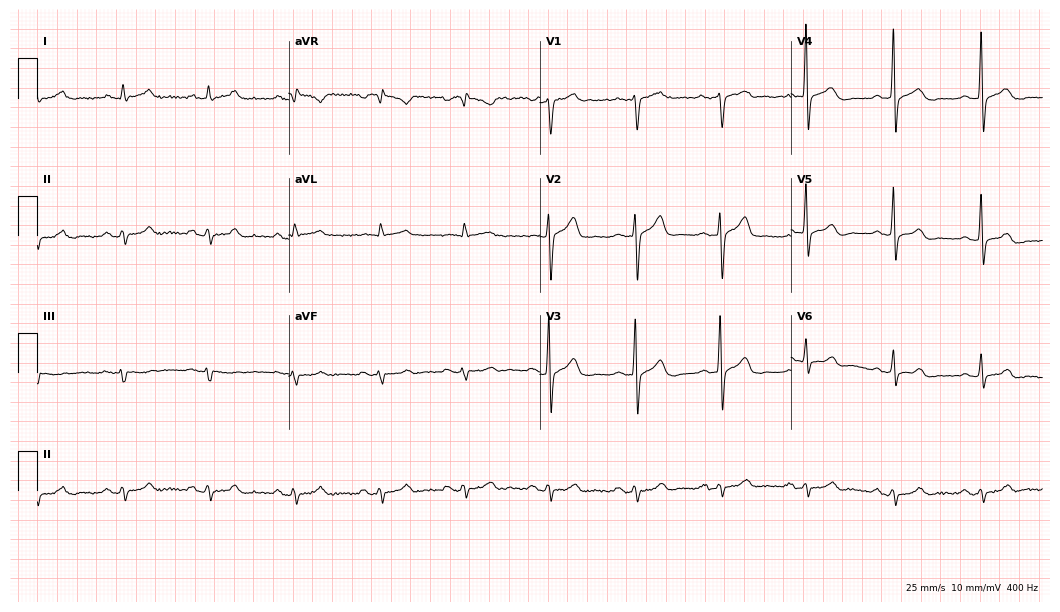
12-lead ECG (10.2-second recording at 400 Hz) from a 67-year-old male. Screened for six findings — first-degree AV block, right bundle branch block, left bundle branch block, sinus bradycardia, atrial fibrillation, sinus tachycardia — none is recorded.